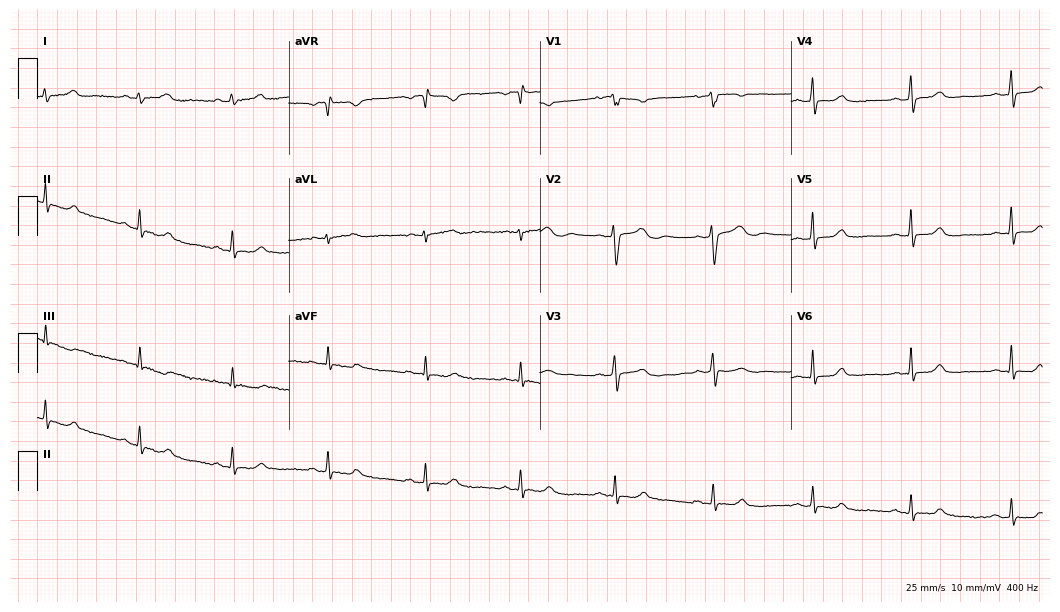
Electrocardiogram (10.2-second recording at 400 Hz), a 21-year-old female. Of the six screened findings (first-degree AV block, right bundle branch block (RBBB), left bundle branch block (LBBB), sinus bradycardia, atrial fibrillation (AF), sinus tachycardia), none is recorded. Findings outside these six are not listed.